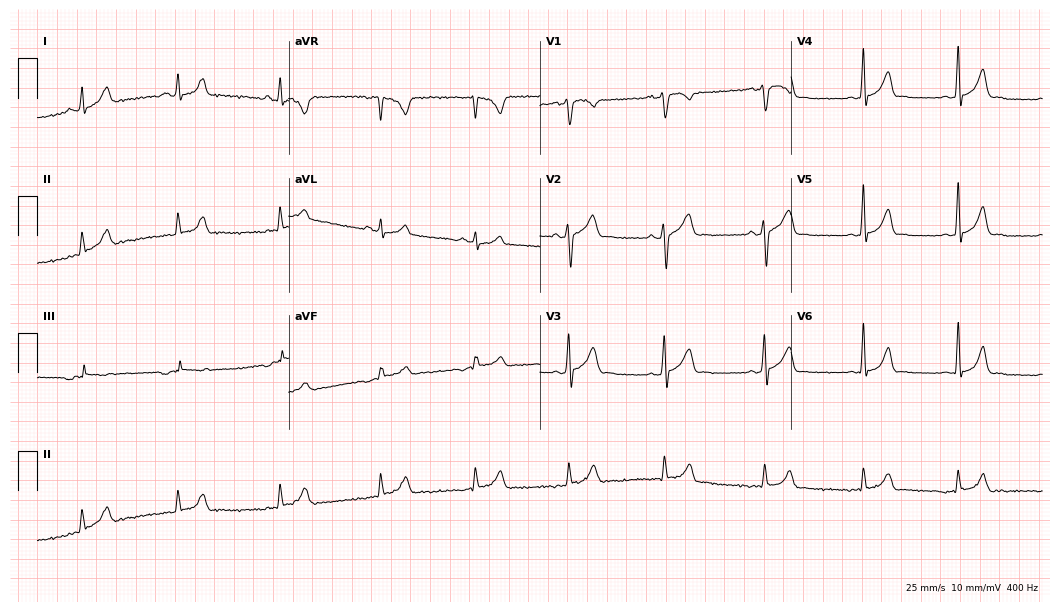
Electrocardiogram, a male patient, 21 years old. Overall reading on record: normal ECG.